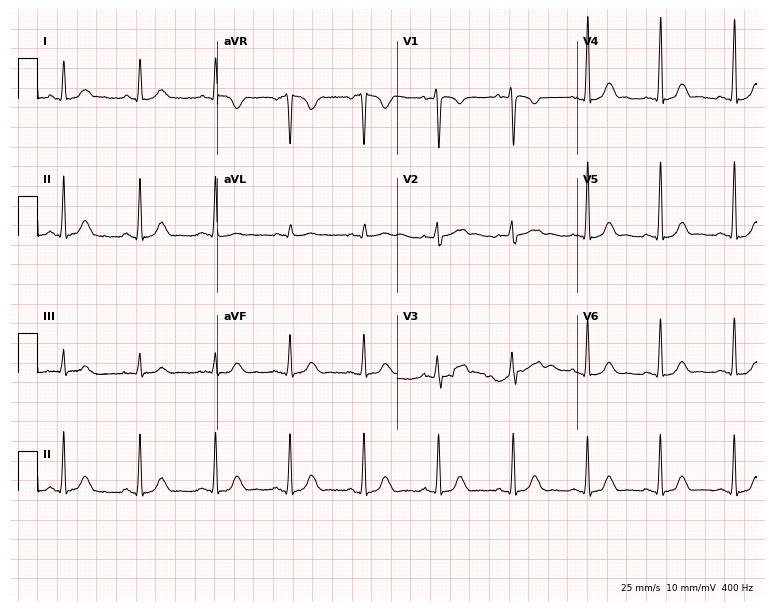
Resting 12-lead electrocardiogram. Patient: a 40-year-old female. Read as a normal ECG.